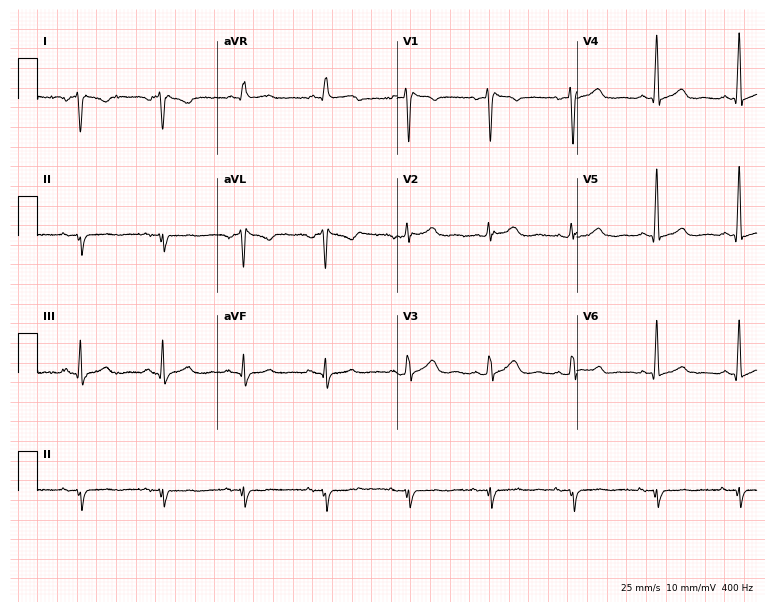
12-lead ECG (7.3-second recording at 400 Hz) from a female, 48 years old. Screened for six findings — first-degree AV block, right bundle branch block, left bundle branch block, sinus bradycardia, atrial fibrillation, sinus tachycardia — none is recorded.